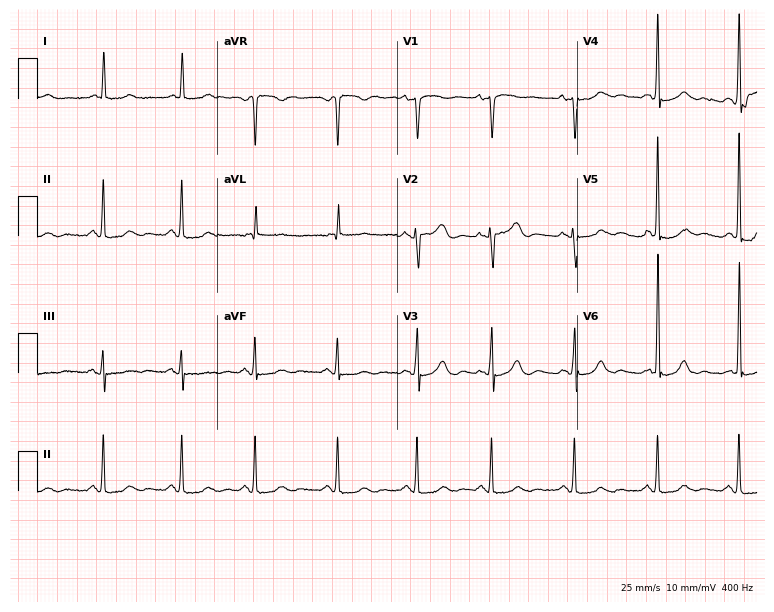
12-lead ECG from a woman, 78 years old (7.3-second recording at 400 Hz). Recorded interpretation: within normal limits.